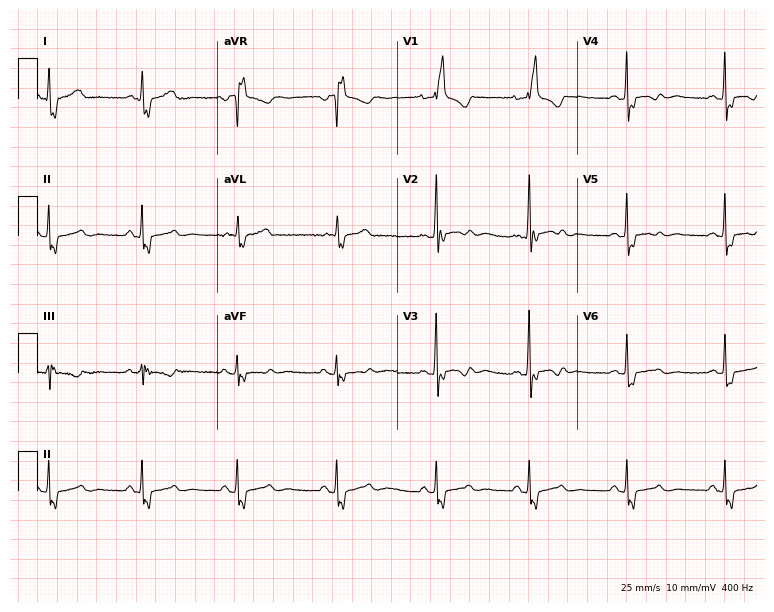
ECG (7.3-second recording at 400 Hz) — a 57-year-old woman. Findings include right bundle branch block.